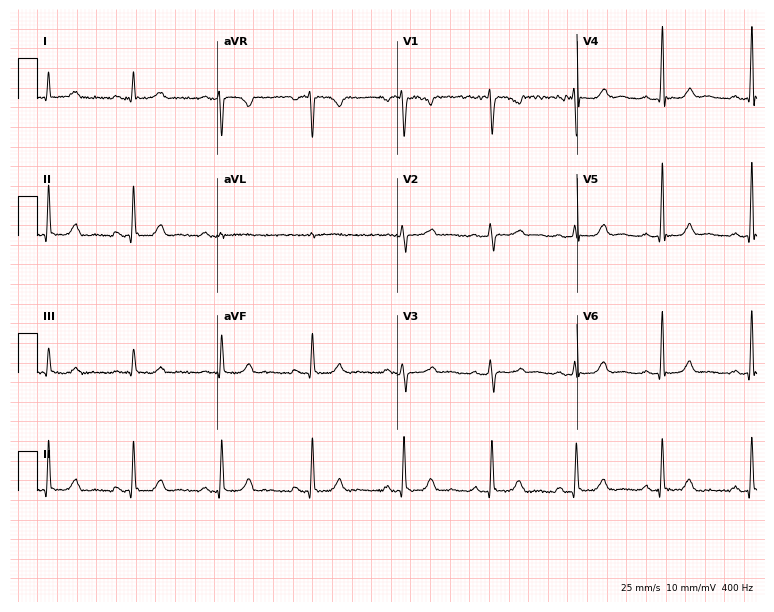
Electrocardiogram (7.3-second recording at 400 Hz), a 34-year-old female patient. Of the six screened findings (first-degree AV block, right bundle branch block, left bundle branch block, sinus bradycardia, atrial fibrillation, sinus tachycardia), none is recorded.